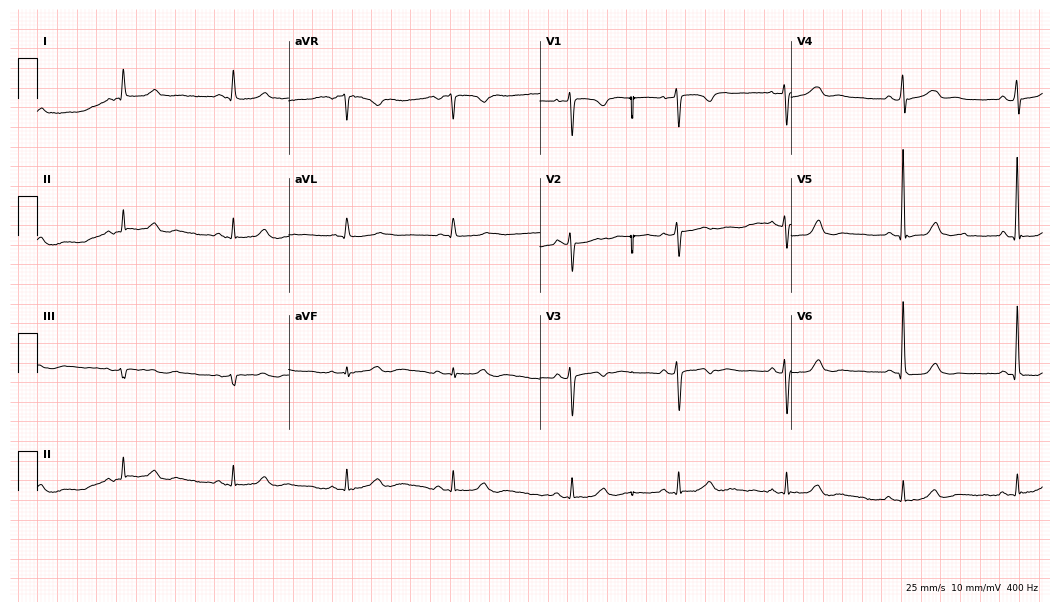
Standard 12-lead ECG recorded from a female patient, 46 years old. Read as a normal ECG.